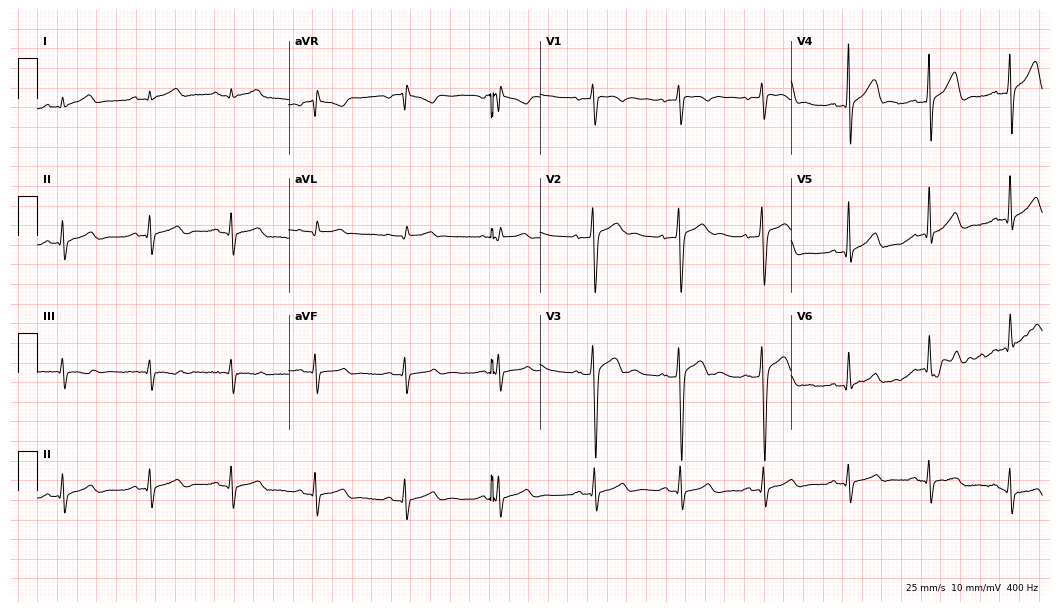
ECG (10.2-second recording at 400 Hz) — a male, 17 years old. Screened for six findings — first-degree AV block, right bundle branch block, left bundle branch block, sinus bradycardia, atrial fibrillation, sinus tachycardia — none is recorded. Findings outside these six are not listed.